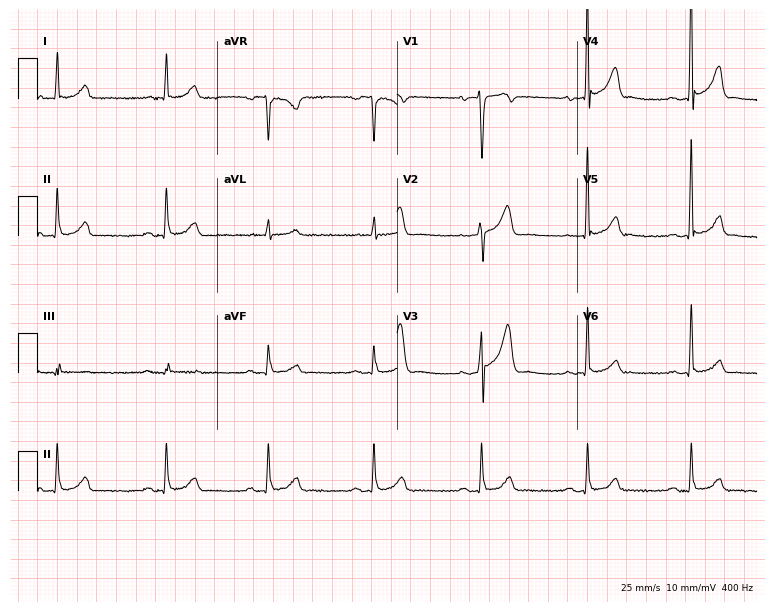
12-lead ECG from a male patient, 60 years old. Screened for six findings — first-degree AV block, right bundle branch block (RBBB), left bundle branch block (LBBB), sinus bradycardia, atrial fibrillation (AF), sinus tachycardia — none is recorded.